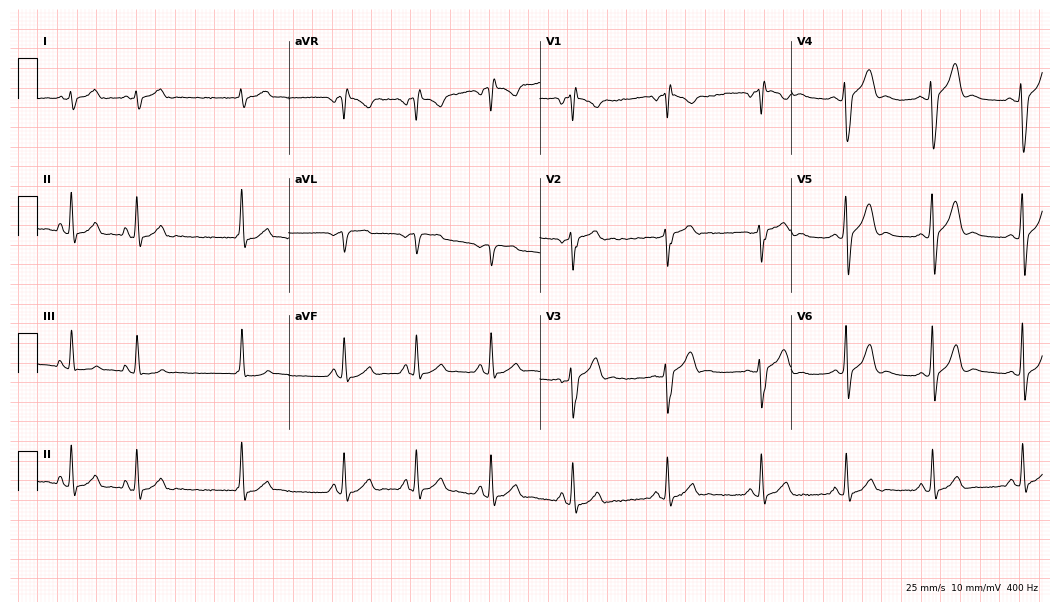
Resting 12-lead electrocardiogram (10.2-second recording at 400 Hz). Patient: a 19-year-old male. None of these six findings is recorded: first-degree AV block, right bundle branch block, left bundle branch block, sinus bradycardia, atrial fibrillation, sinus tachycardia.